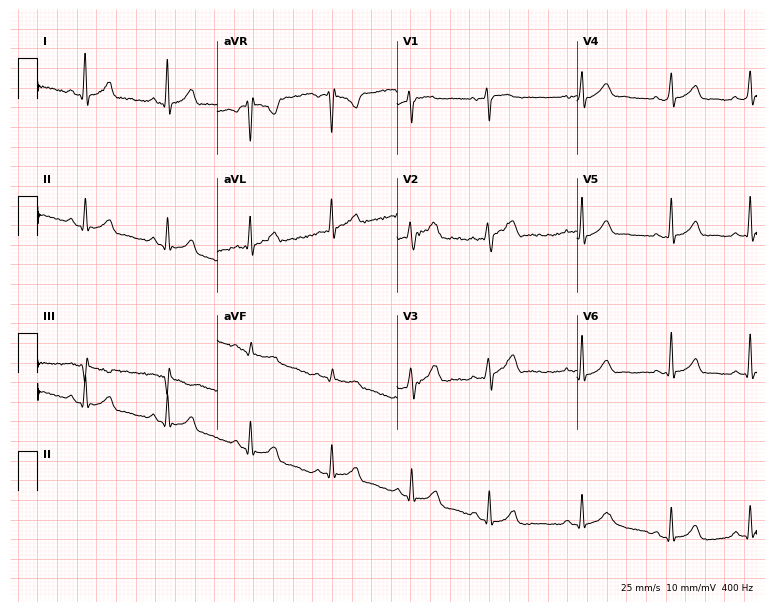
ECG — a 22-year-old female. Screened for six findings — first-degree AV block, right bundle branch block, left bundle branch block, sinus bradycardia, atrial fibrillation, sinus tachycardia — none is recorded.